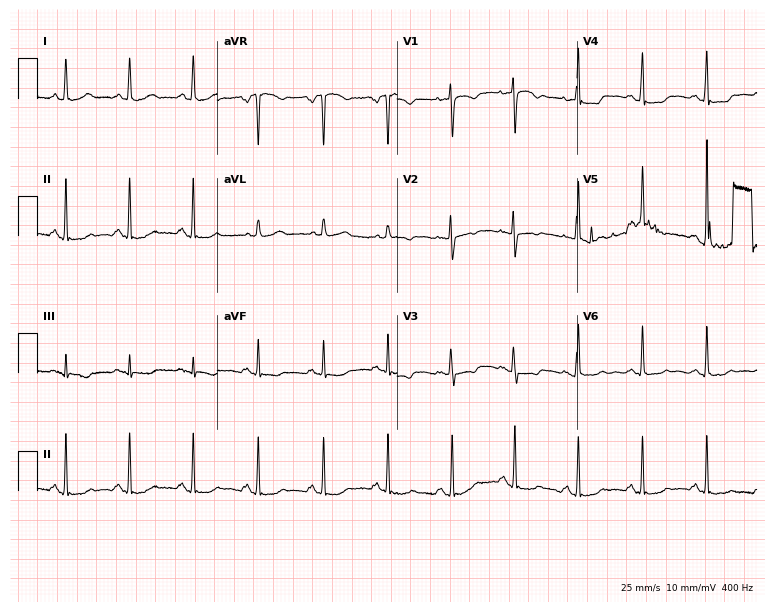
ECG (7.3-second recording at 400 Hz) — a female, 35 years old. Screened for six findings — first-degree AV block, right bundle branch block, left bundle branch block, sinus bradycardia, atrial fibrillation, sinus tachycardia — none is recorded. Only these six findings were labelled.